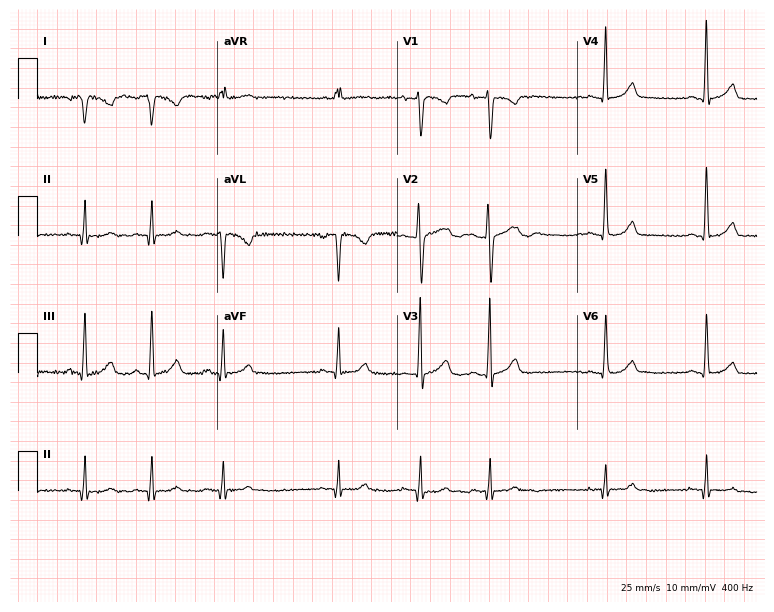
Electrocardiogram (7.3-second recording at 400 Hz), a woman, 22 years old. Of the six screened findings (first-degree AV block, right bundle branch block, left bundle branch block, sinus bradycardia, atrial fibrillation, sinus tachycardia), none is recorded. Other findings, if any, are not listed.